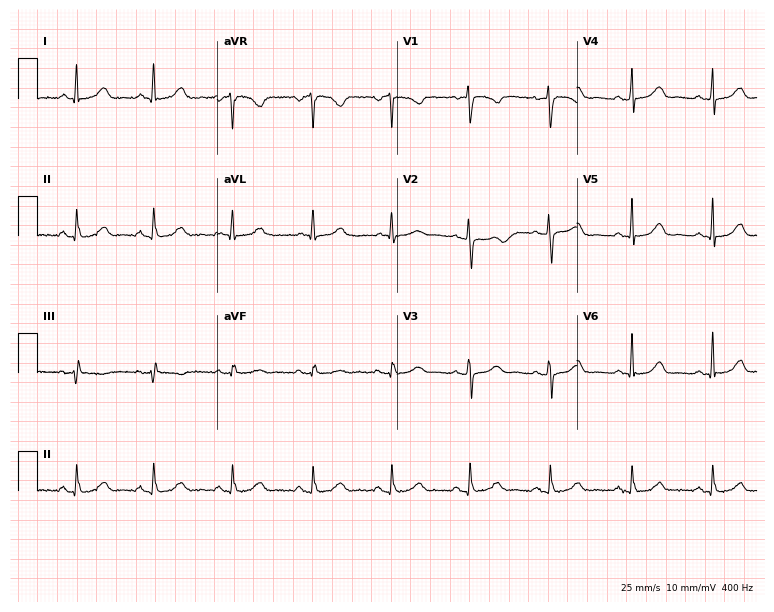
Electrocardiogram (7.3-second recording at 400 Hz), a 56-year-old female patient. Overall reading on record: normal ECG.